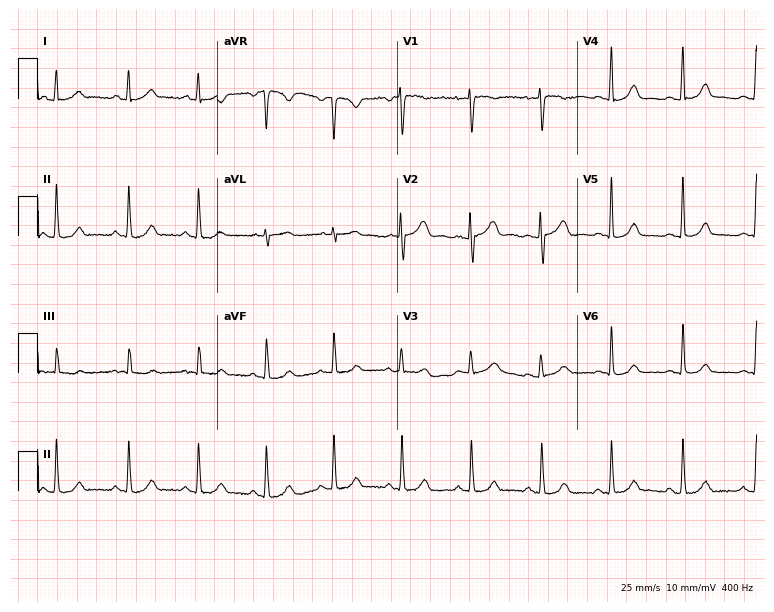
12-lead ECG from a female, 37 years old (7.3-second recording at 400 Hz). No first-degree AV block, right bundle branch block, left bundle branch block, sinus bradycardia, atrial fibrillation or sinus tachycardia recorded for this tracing.